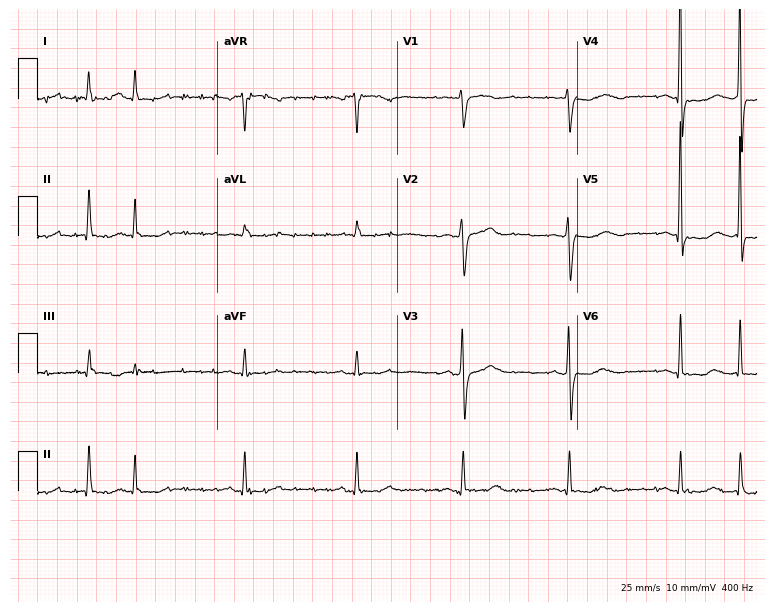
Resting 12-lead electrocardiogram (7.3-second recording at 400 Hz). Patient: a 61-year-old woman. None of these six findings is recorded: first-degree AV block, right bundle branch block (RBBB), left bundle branch block (LBBB), sinus bradycardia, atrial fibrillation (AF), sinus tachycardia.